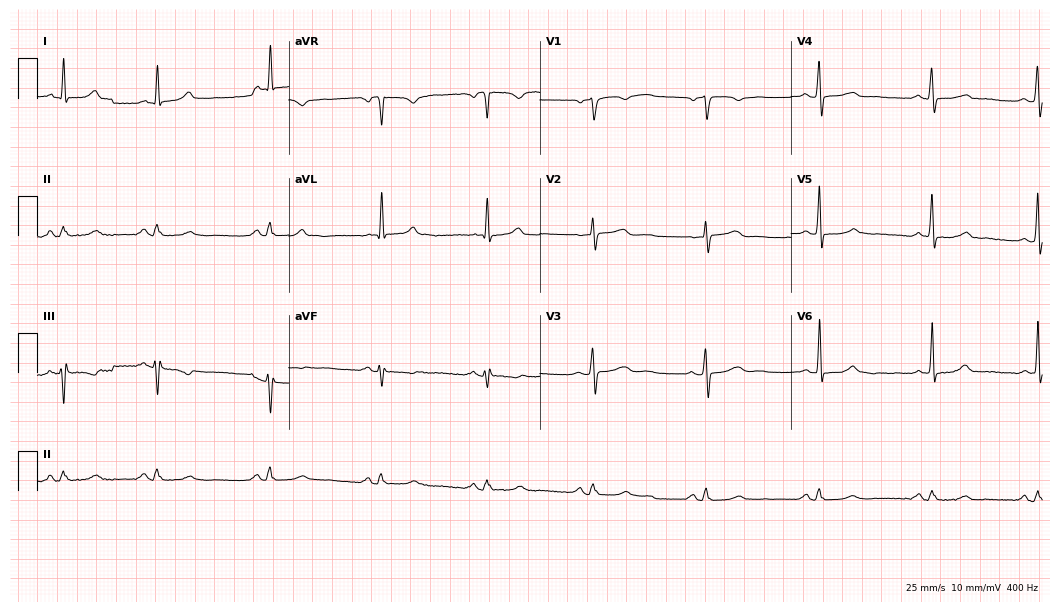
Electrocardiogram, a 57-year-old man. Of the six screened findings (first-degree AV block, right bundle branch block (RBBB), left bundle branch block (LBBB), sinus bradycardia, atrial fibrillation (AF), sinus tachycardia), none is recorded. Findings outside these six are not listed.